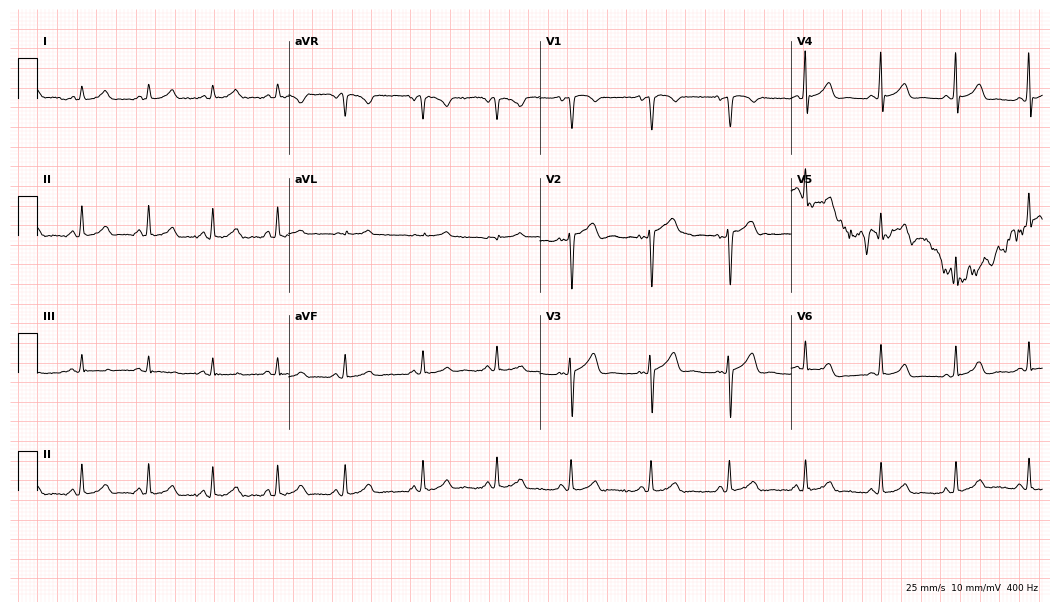
Electrocardiogram, a woman, 48 years old. Overall reading on record: normal ECG.